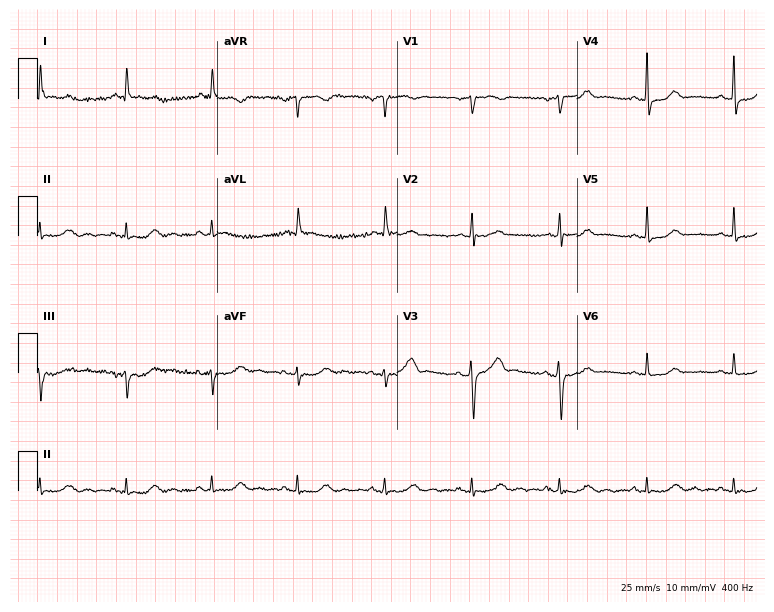
12-lead ECG from a female patient, 68 years old (7.3-second recording at 400 Hz). No first-degree AV block, right bundle branch block, left bundle branch block, sinus bradycardia, atrial fibrillation or sinus tachycardia recorded for this tracing. Findings outside these six are not listed.